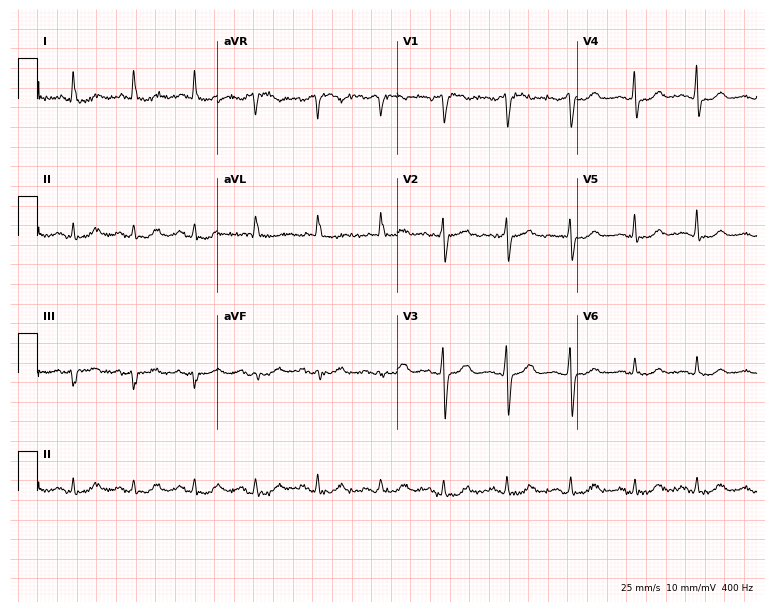
ECG — a female patient, 76 years old. Screened for six findings — first-degree AV block, right bundle branch block (RBBB), left bundle branch block (LBBB), sinus bradycardia, atrial fibrillation (AF), sinus tachycardia — none is recorded. Findings outside these six are not listed.